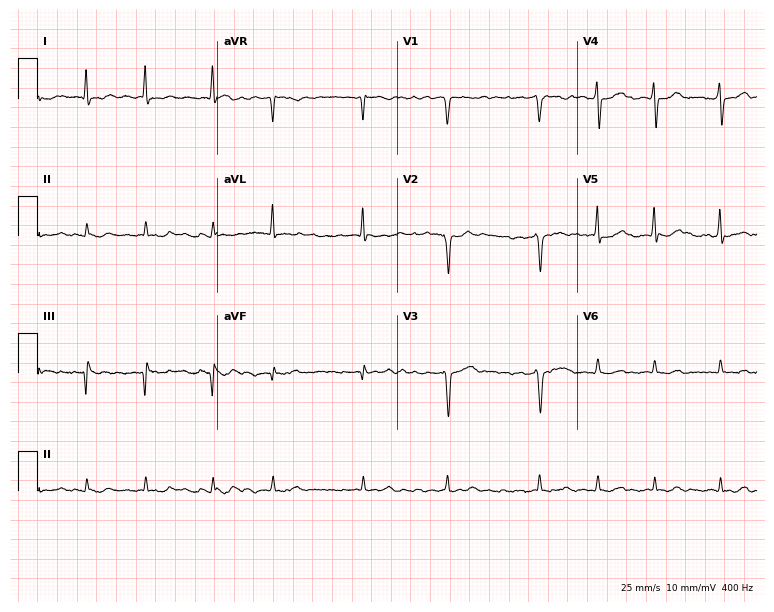
12-lead ECG from a 52-year-old male patient (7.3-second recording at 400 Hz). Shows atrial fibrillation (AF).